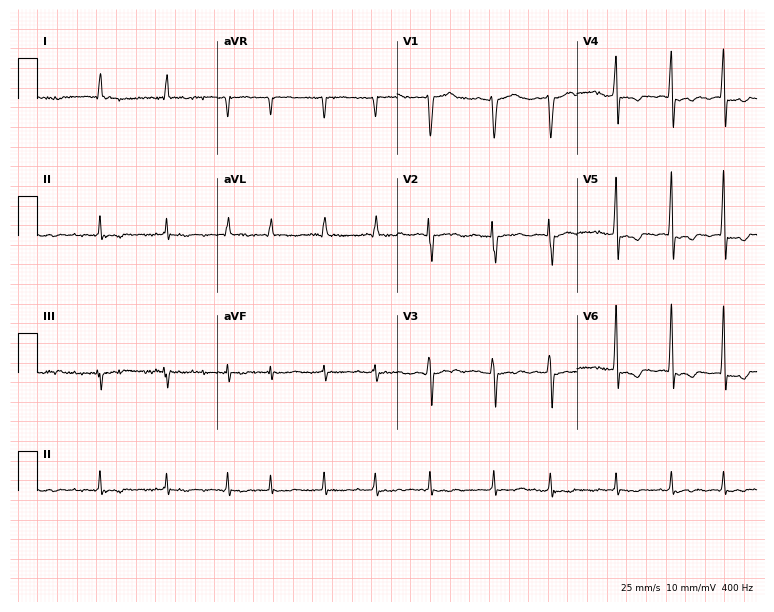
Resting 12-lead electrocardiogram (7.3-second recording at 400 Hz). Patient: a man, 59 years old. The tracing shows atrial fibrillation.